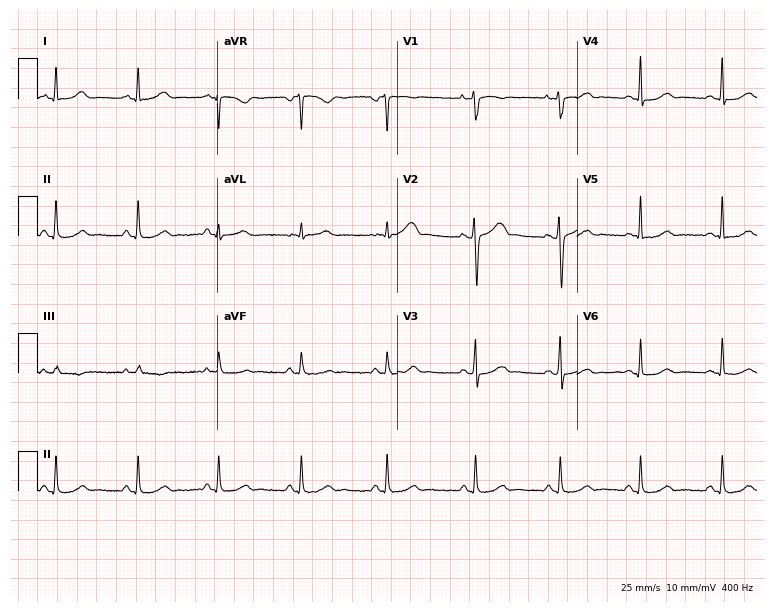
12-lead ECG from a female, 27 years old. Labelled as a normal ECG.